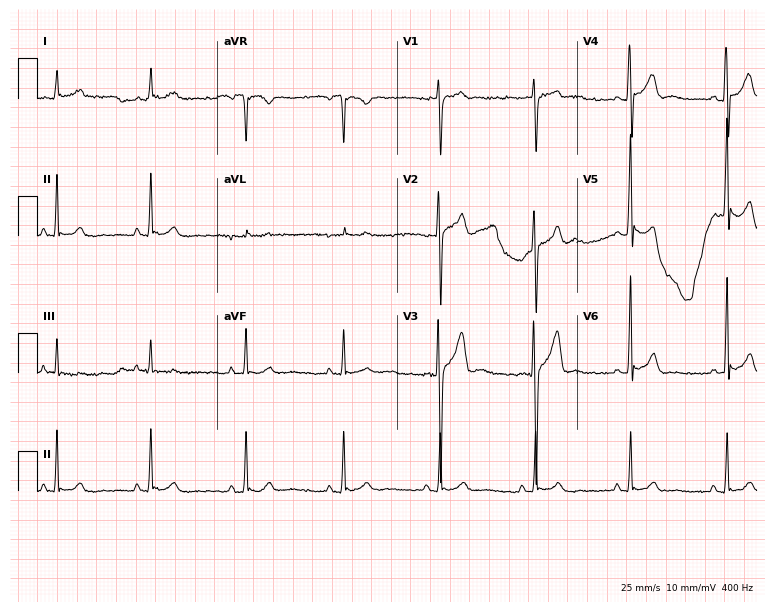
ECG (7.3-second recording at 400 Hz) — a 26-year-old man. Labelled as a normal ECG.